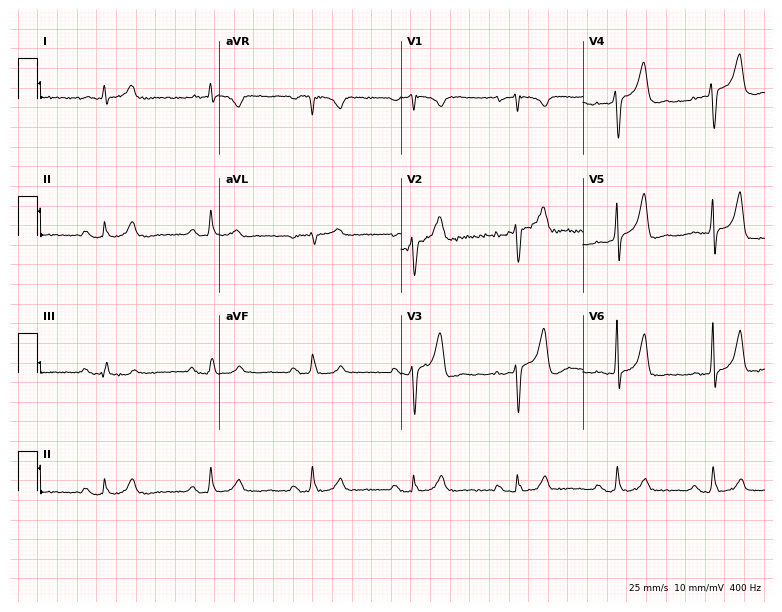
Standard 12-lead ECG recorded from a 58-year-old male patient. Read as a normal ECG.